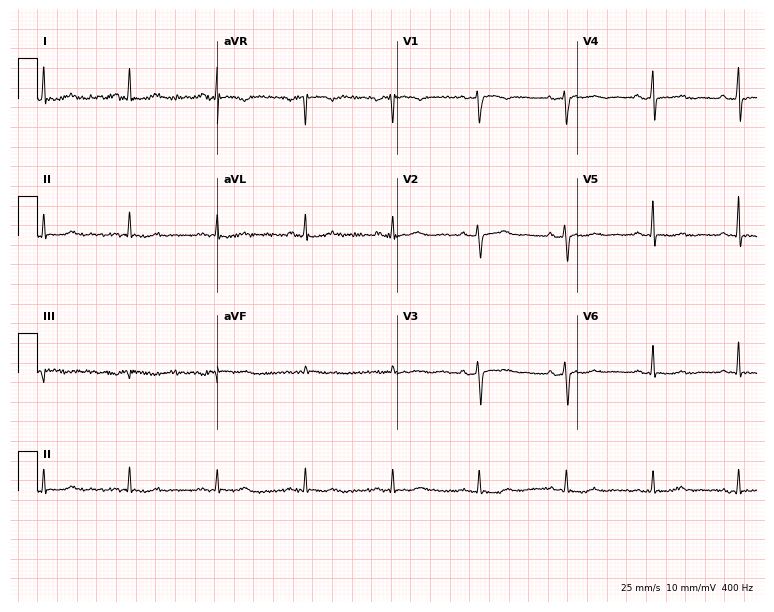
Electrocardiogram, a 49-year-old female. Of the six screened findings (first-degree AV block, right bundle branch block (RBBB), left bundle branch block (LBBB), sinus bradycardia, atrial fibrillation (AF), sinus tachycardia), none is recorded. Findings outside these six are not listed.